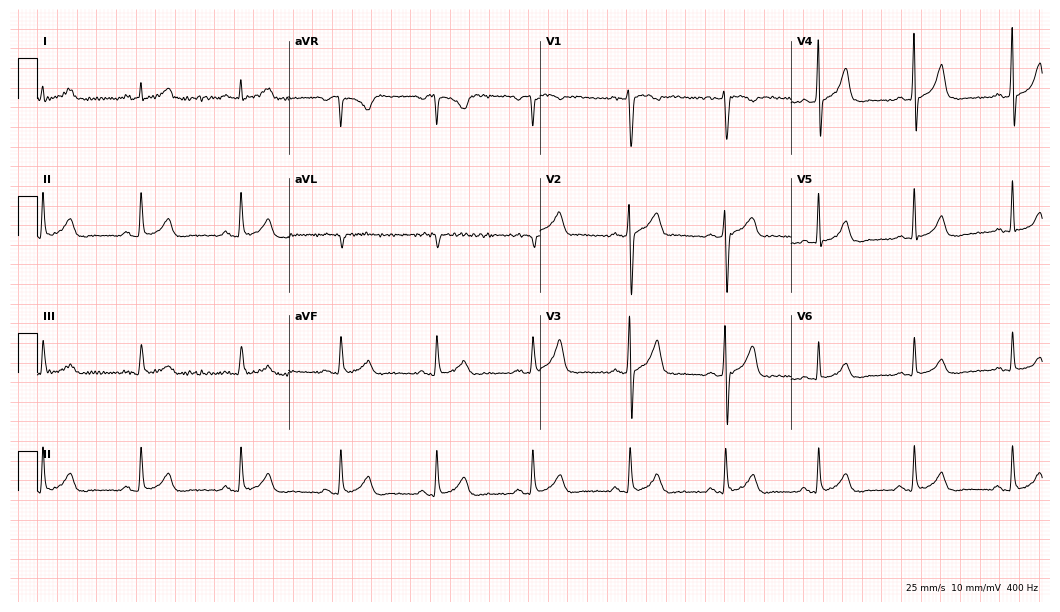
Resting 12-lead electrocardiogram (10.2-second recording at 400 Hz). Patient: a 35-year-old male. Read as a normal ECG.